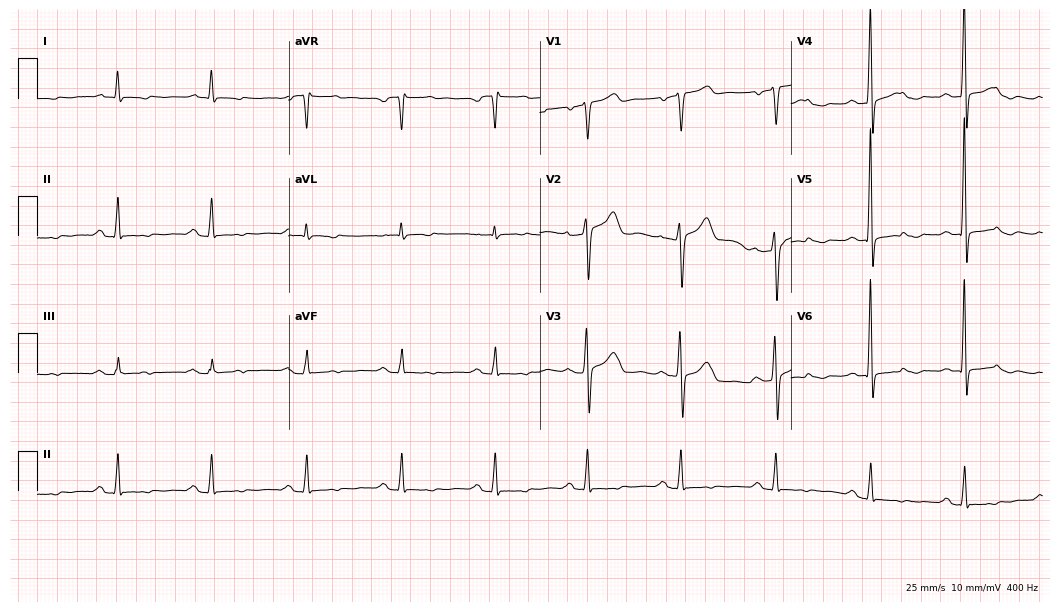
Standard 12-lead ECG recorded from a male, 59 years old. None of these six findings is recorded: first-degree AV block, right bundle branch block, left bundle branch block, sinus bradycardia, atrial fibrillation, sinus tachycardia. Other findings, if any, are not listed.